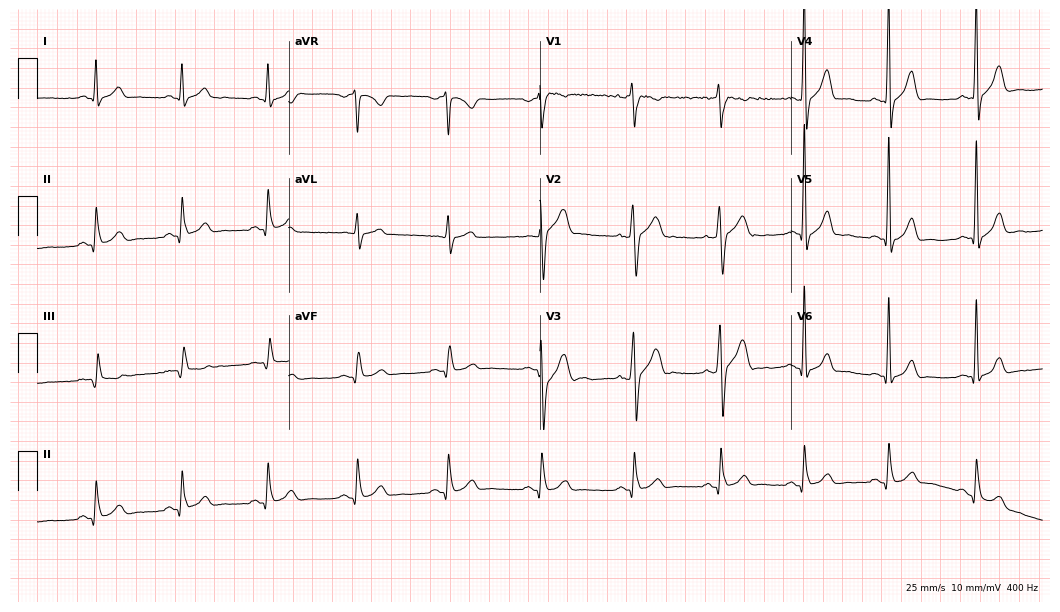
ECG (10.2-second recording at 400 Hz) — a male patient, 44 years old. Screened for six findings — first-degree AV block, right bundle branch block, left bundle branch block, sinus bradycardia, atrial fibrillation, sinus tachycardia — none is recorded.